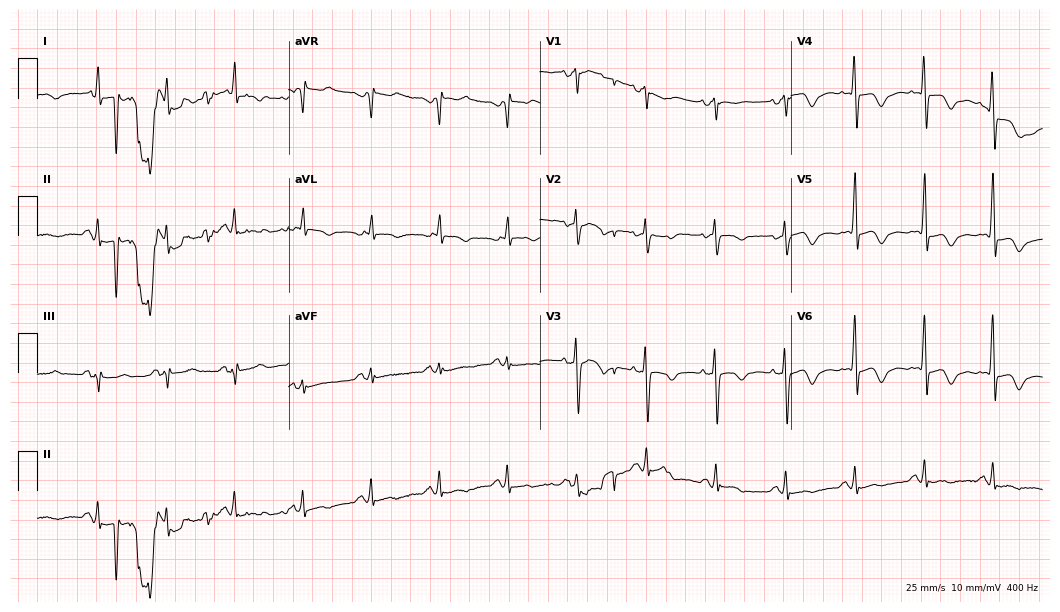
ECG (10.2-second recording at 400 Hz) — a woman, 68 years old. Labelled as a normal ECG.